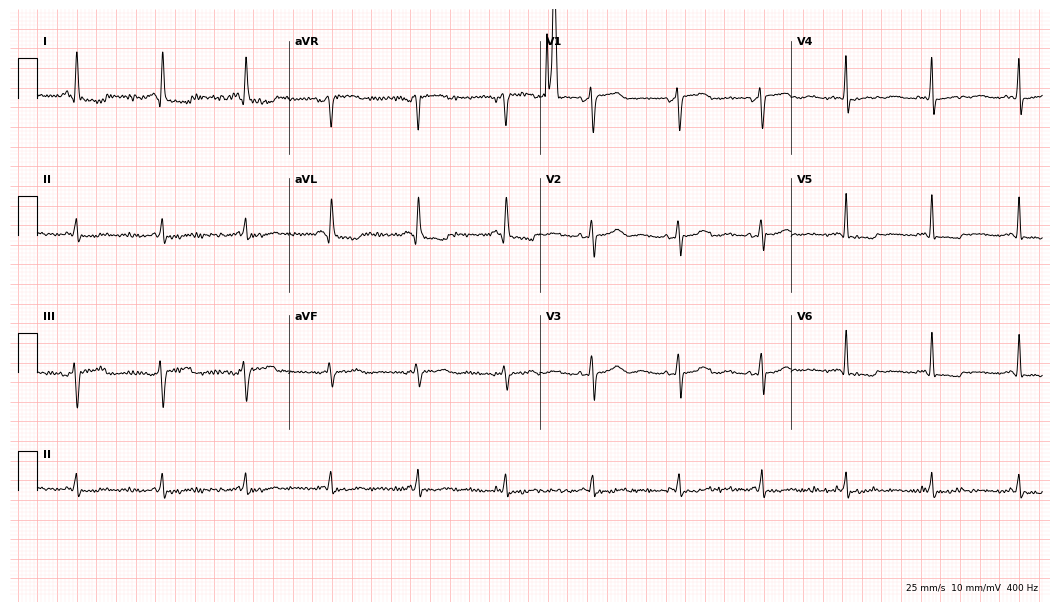
Resting 12-lead electrocardiogram (10.2-second recording at 400 Hz). Patient: a woman, 55 years old. None of these six findings is recorded: first-degree AV block, right bundle branch block, left bundle branch block, sinus bradycardia, atrial fibrillation, sinus tachycardia. Only these six findings were labelled.